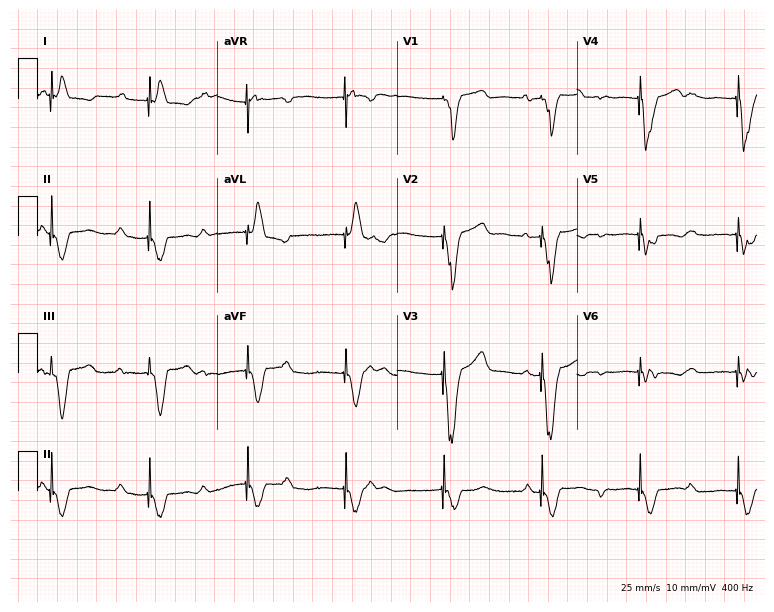
Electrocardiogram (7.3-second recording at 400 Hz), a 78-year-old female patient. Of the six screened findings (first-degree AV block, right bundle branch block (RBBB), left bundle branch block (LBBB), sinus bradycardia, atrial fibrillation (AF), sinus tachycardia), none is recorded.